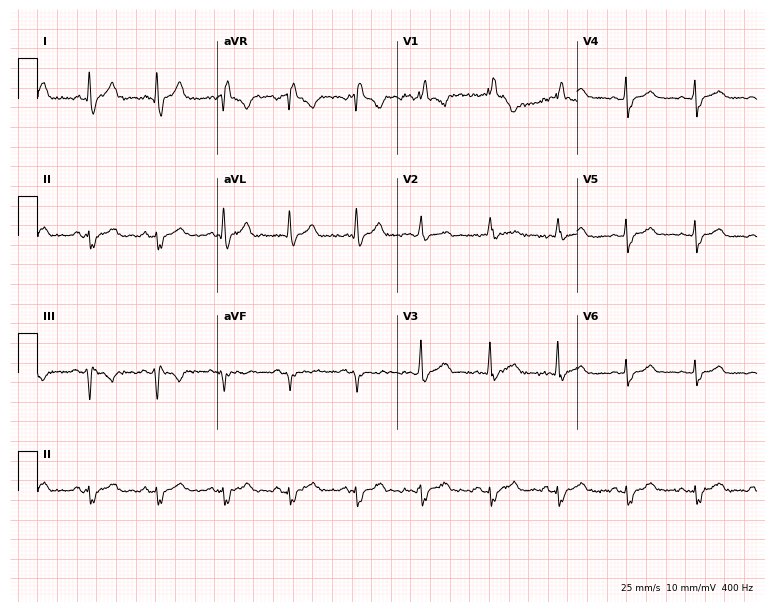
Standard 12-lead ECG recorded from a 43-year-old female patient (7.3-second recording at 400 Hz). The tracing shows right bundle branch block (RBBB).